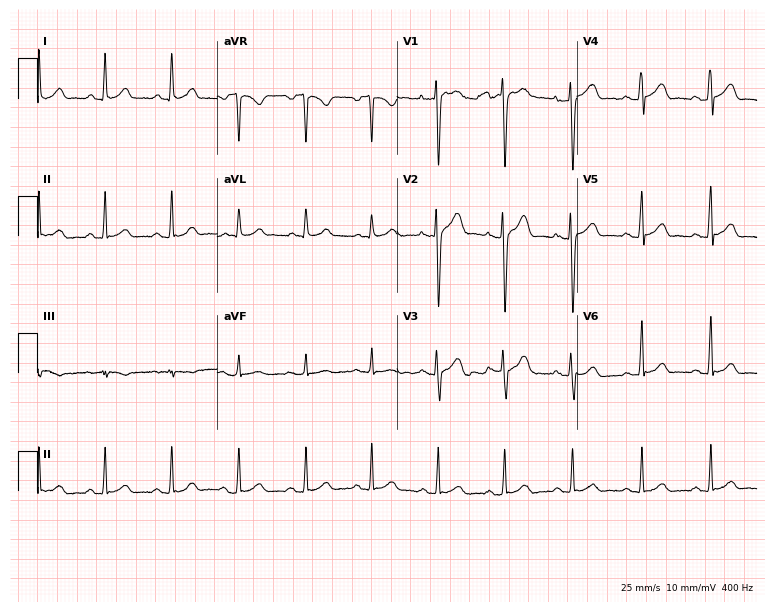
Standard 12-lead ECG recorded from a male, 22 years old (7.3-second recording at 400 Hz). None of these six findings is recorded: first-degree AV block, right bundle branch block, left bundle branch block, sinus bradycardia, atrial fibrillation, sinus tachycardia. Only these six findings were labelled.